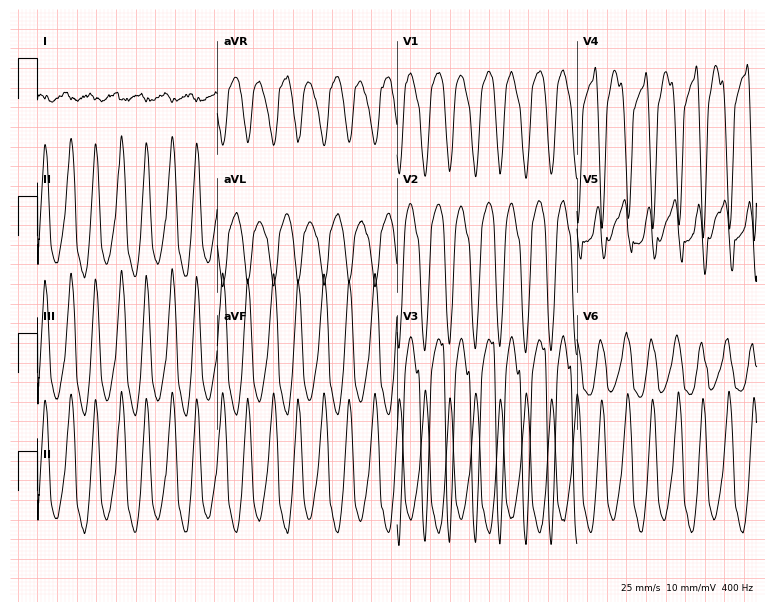
ECG (7.3-second recording at 400 Hz) — a woman, 56 years old. Screened for six findings — first-degree AV block, right bundle branch block, left bundle branch block, sinus bradycardia, atrial fibrillation, sinus tachycardia — none is recorded. Other findings, if any, are not listed.